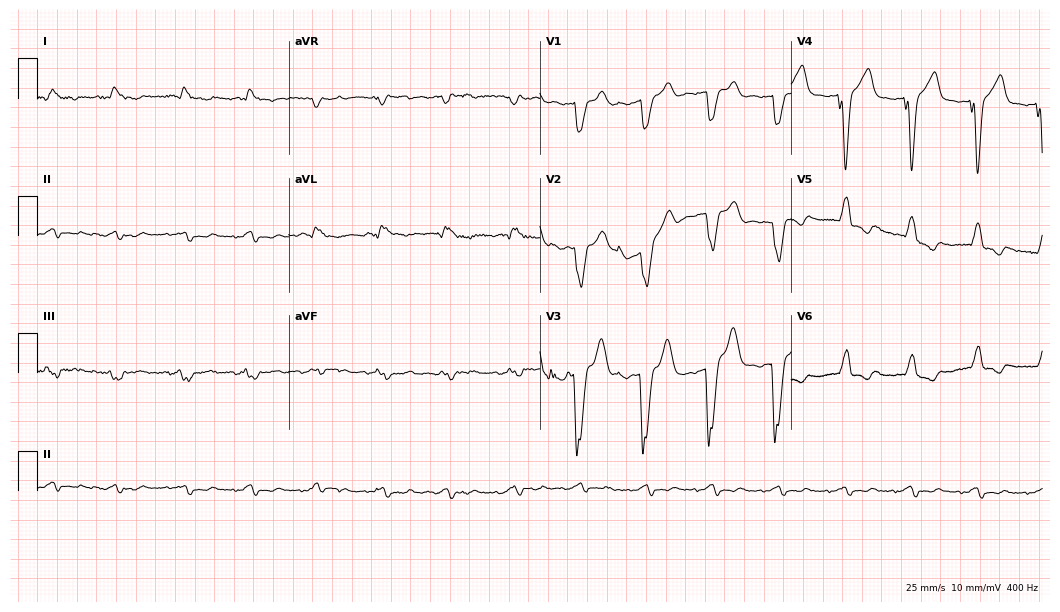
ECG (10.2-second recording at 400 Hz) — an 82-year-old female patient. Screened for six findings — first-degree AV block, right bundle branch block (RBBB), left bundle branch block (LBBB), sinus bradycardia, atrial fibrillation (AF), sinus tachycardia — none is recorded. Only these six findings were labelled.